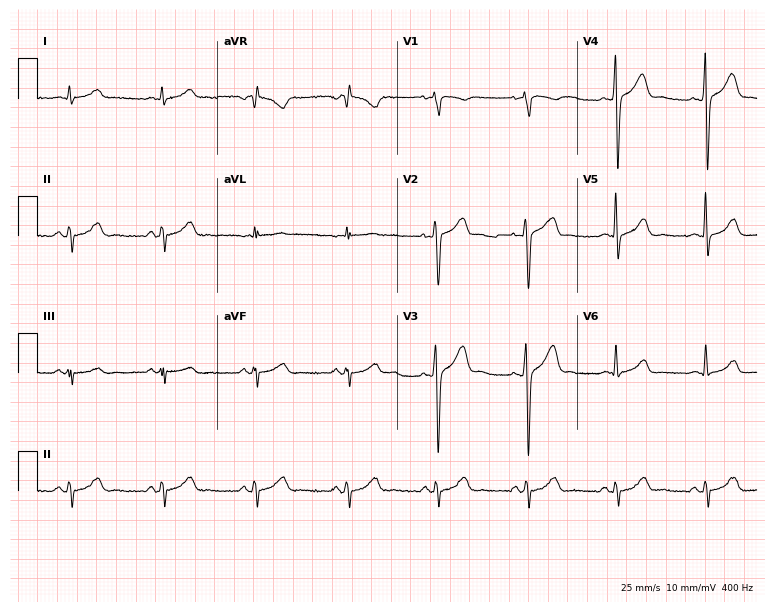
12-lead ECG from a male, 54 years old (7.3-second recording at 400 Hz). No first-degree AV block, right bundle branch block (RBBB), left bundle branch block (LBBB), sinus bradycardia, atrial fibrillation (AF) or sinus tachycardia recorded for this tracing. Findings outside these six are not listed.